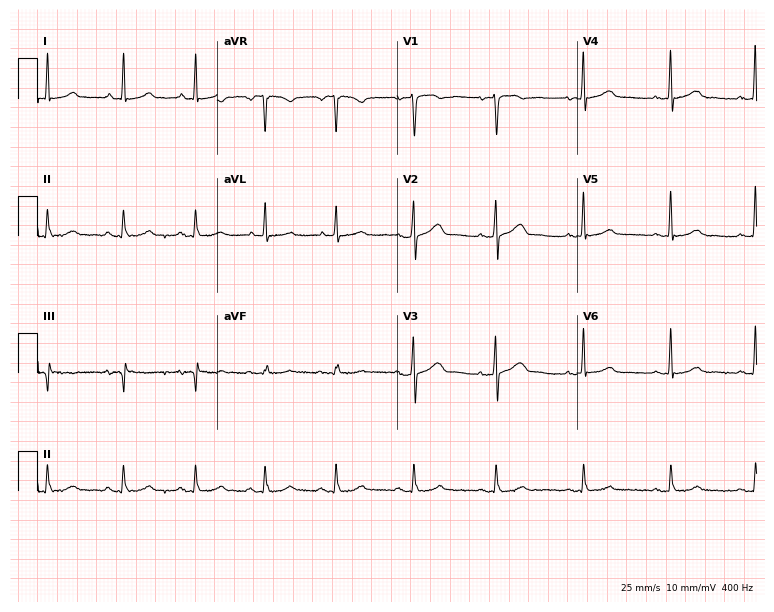
12-lead ECG (7.3-second recording at 400 Hz) from a female, 56 years old. Screened for six findings — first-degree AV block, right bundle branch block (RBBB), left bundle branch block (LBBB), sinus bradycardia, atrial fibrillation (AF), sinus tachycardia — none is recorded. Other findings, if any, are not listed.